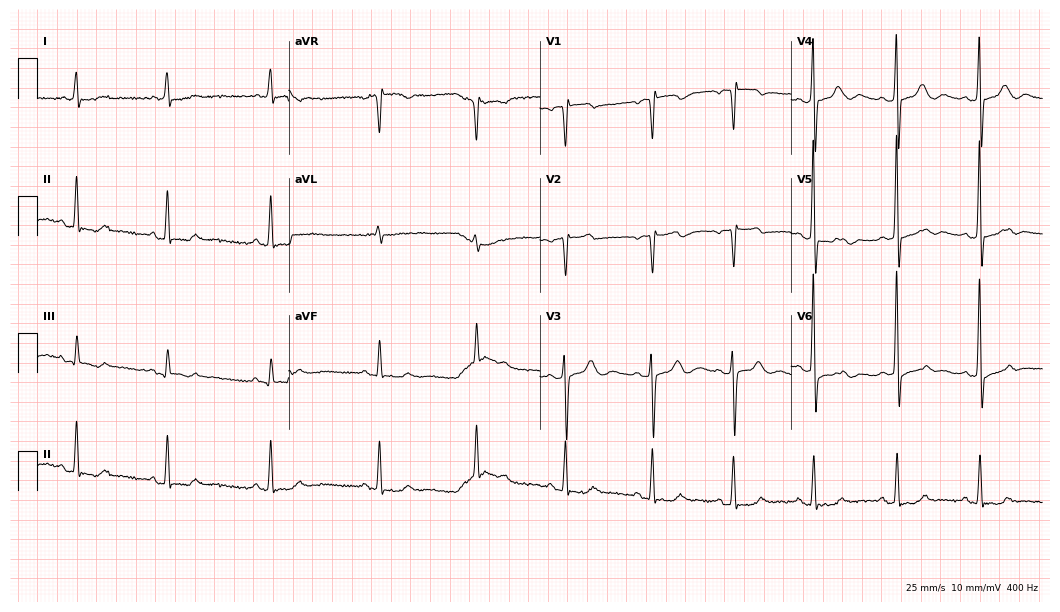
Electrocardiogram, an 81-year-old woman. Of the six screened findings (first-degree AV block, right bundle branch block (RBBB), left bundle branch block (LBBB), sinus bradycardia, atrial fibrillation (AF), sinus tachycardia), none is recorded. Other findings, if any, are not listed.